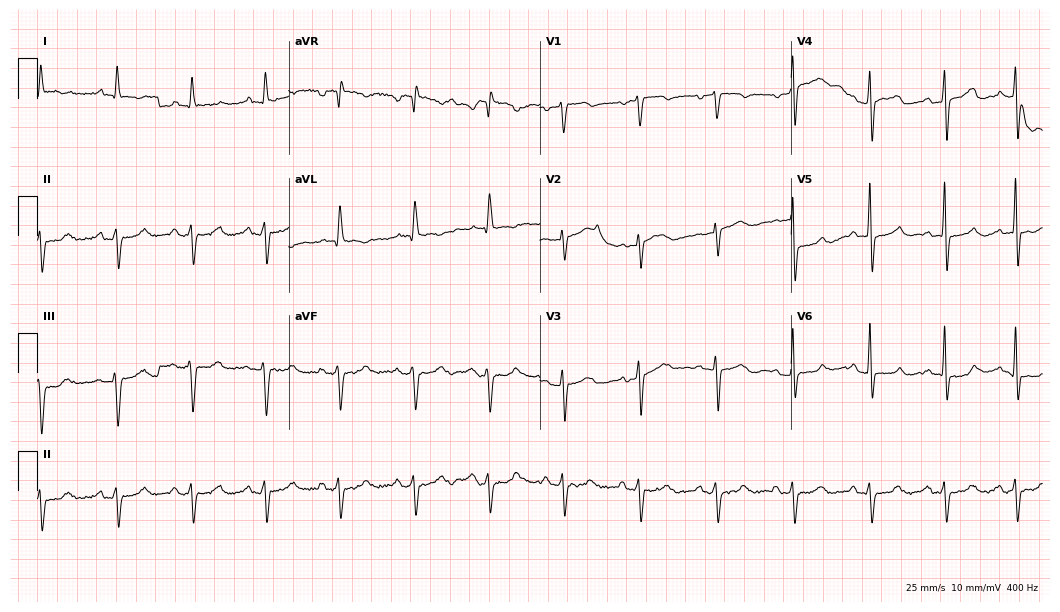
12-lead ECG from an 80-year-old male patient. Screened for six findings — first-degree AV block, right bundle branch block, left bundle branch block, sinus bradycardia, atrial fibrillation, sinus tachycardia — none is recorded.